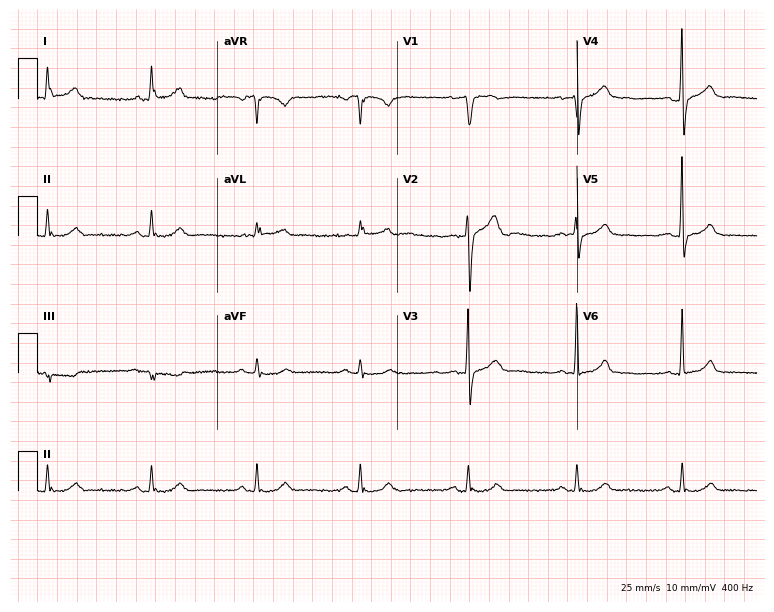
12-lead ECG from a male patient, 61 years old. No first-degree AV block, right bundle branch block, left bundle branch block, sinus bradycardia, atrial fibrillation or sinus tachycardia recorded for this tracing. Other findings, if any, are not listed.